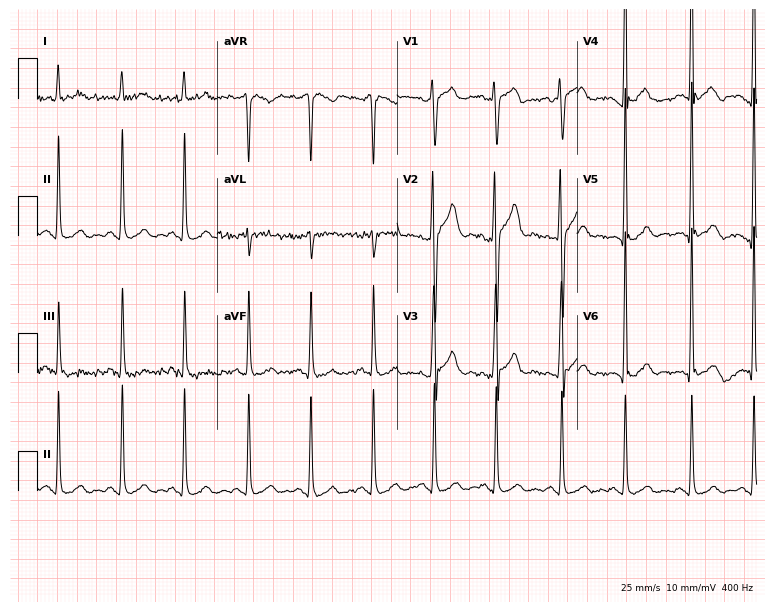
Standard 12-lead ECG recorded from a 35-year-old male. Read as a normal ECG.